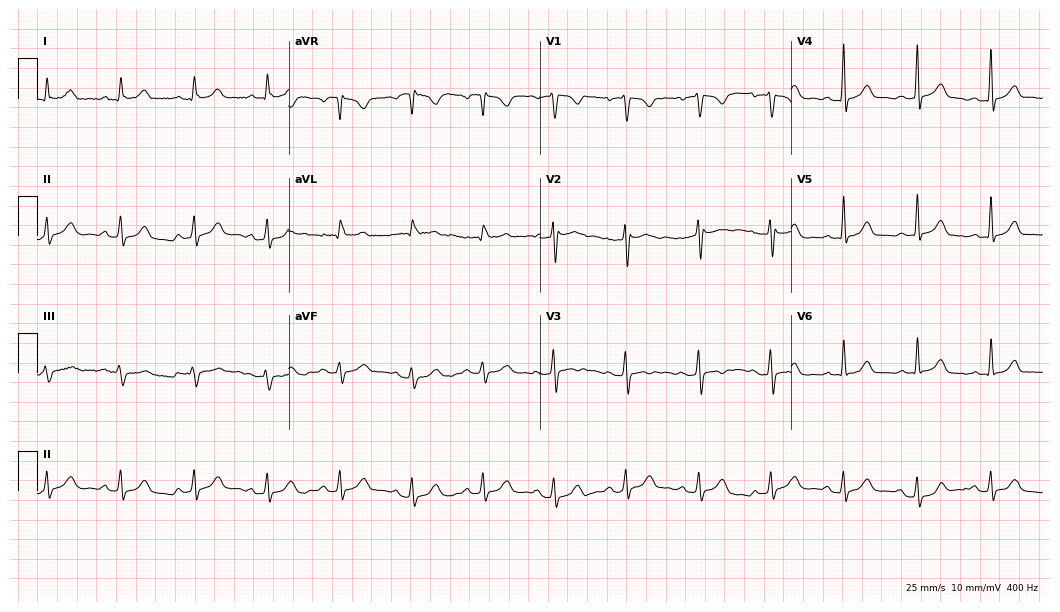
Standard 12-lead ECG recorded from a 38-year-old female (10.2-second recording at 400 Hz). Read as a normal ECG.